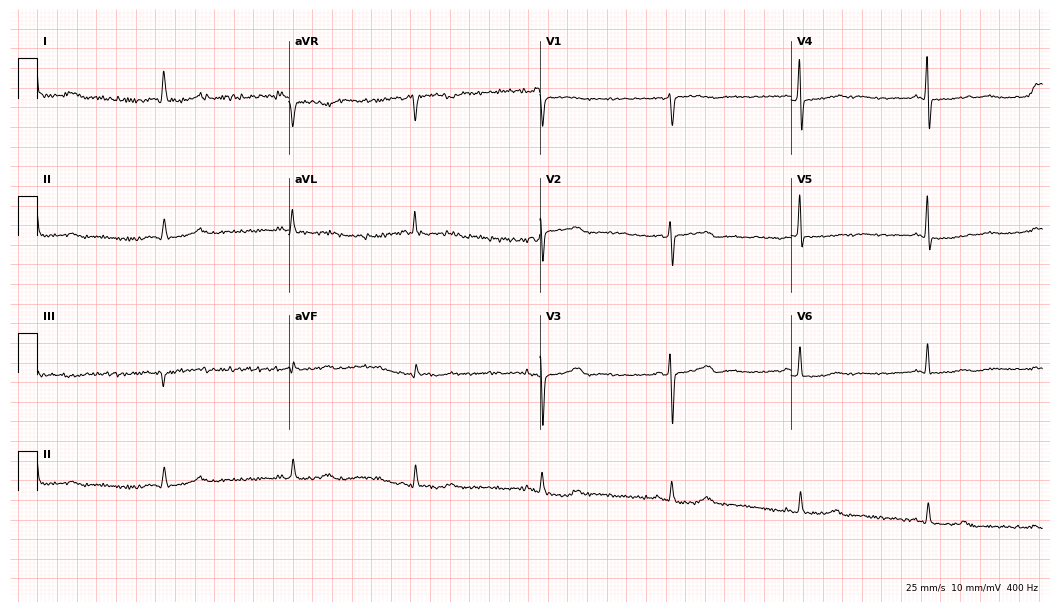
Resting 12-lead electrocardiogram (10.2-second recording at 400 Hz). Patient: a woman, 79 years old. The tracing shows sinus bradycardia (a sinus rate of 50 beats per minute or less).